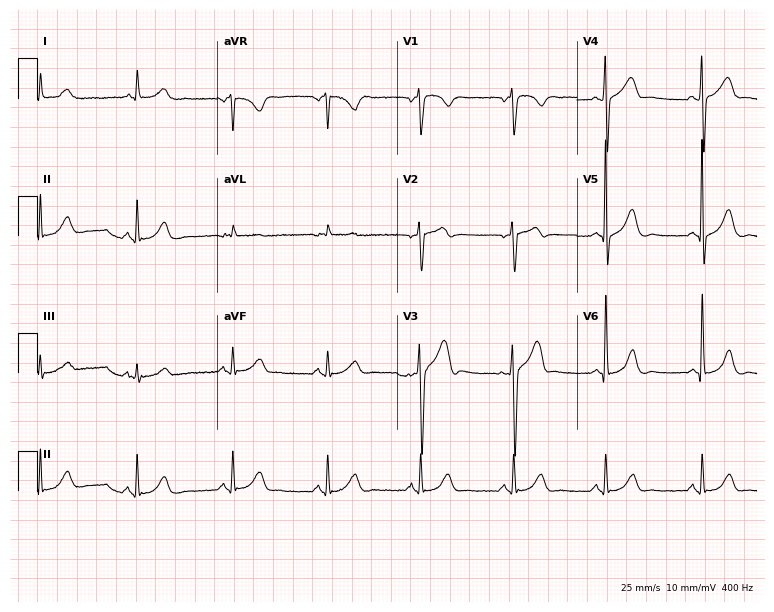
ECG — a 51-year-old male. Labelled as a normal ECG.